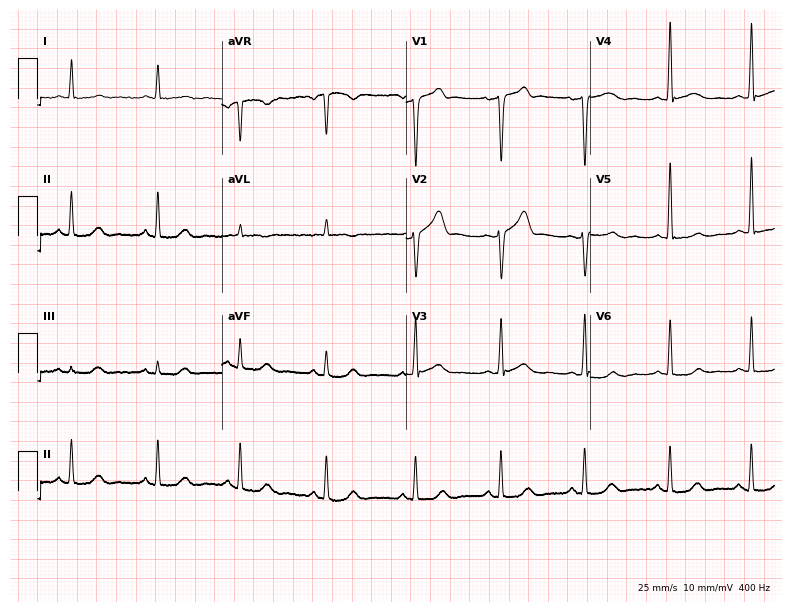
12-lead ECG from a 51-year-old male. No first-degree AV block, right bundle branch block, left bundle branch block, sinus bradycardia, atrial fibrillation or sinus tachycardia recorded for this tracing. Only these six findings were labelled.